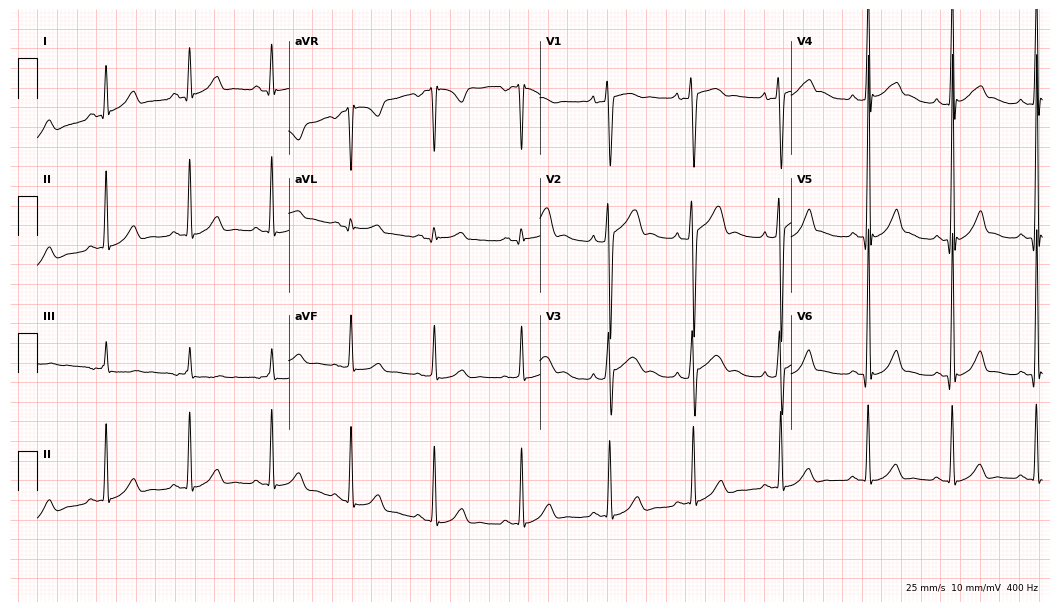
12-lead ECG from a 17-year-old male (10.2-second recording at 400 Hz). Recorded interpretation: within normal limits.